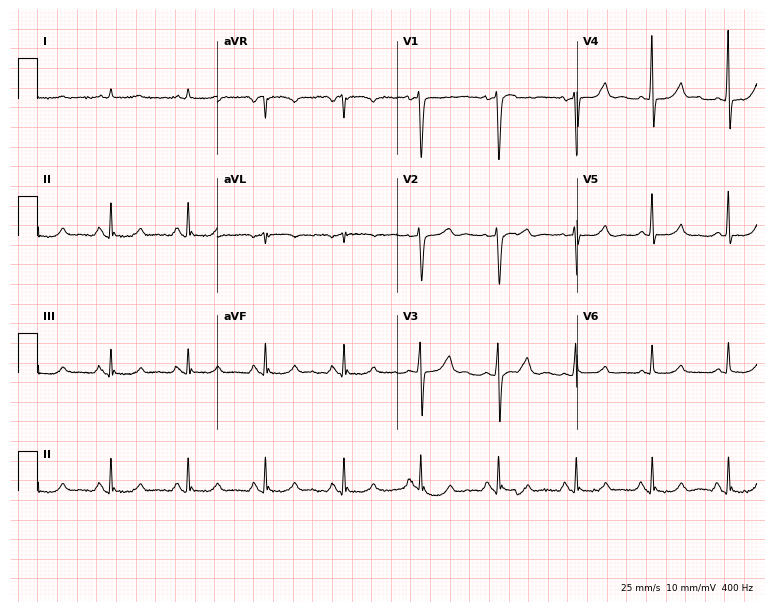
Resting 12-lead electrocardiogram (7.3-second recording at 400 Hz). Patient: a man, 54 years old. None of these six findings is recorded: first-degree AV block, right bundle branch block (RBBB), left bundle branch block (LBBB), sinus bradycardia, atrial fibrillation (AF), sinus tachycardia.